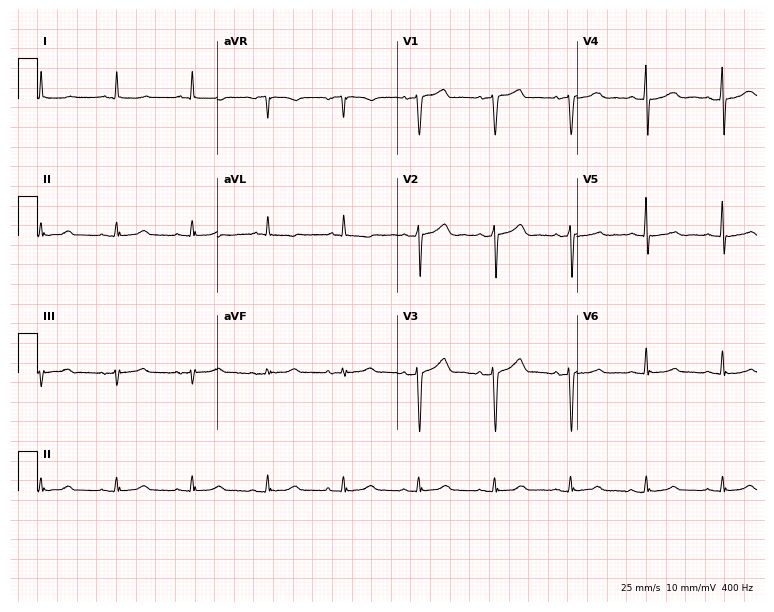
ECG — an 81-year-old man. Labelled as a normal ECG.